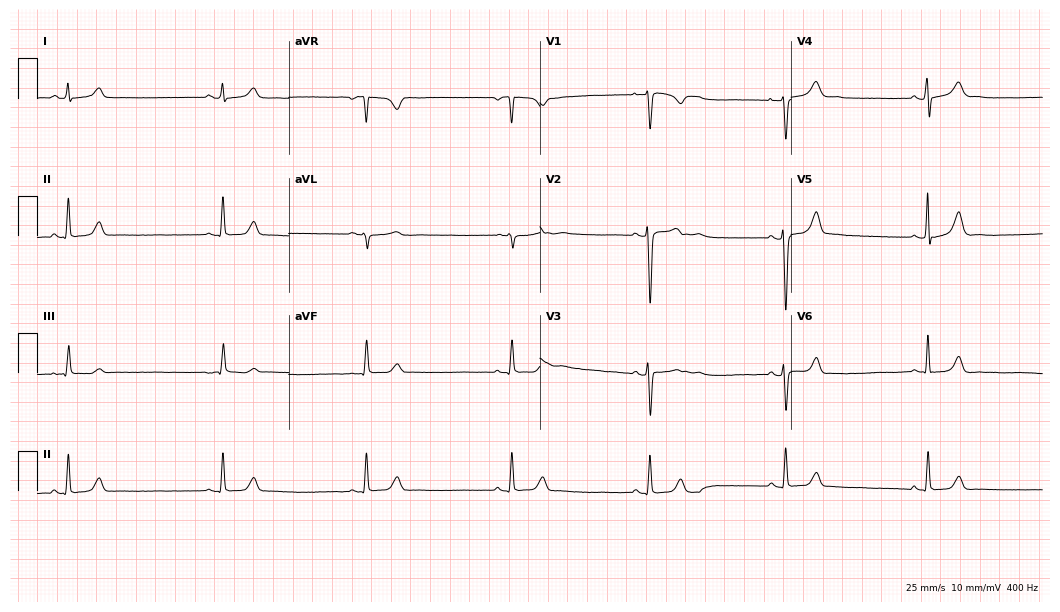
12-lead ECG from a female, 27 years old. Shows sinus bradycardia (a sinus rate of 50 beats per minute or less).